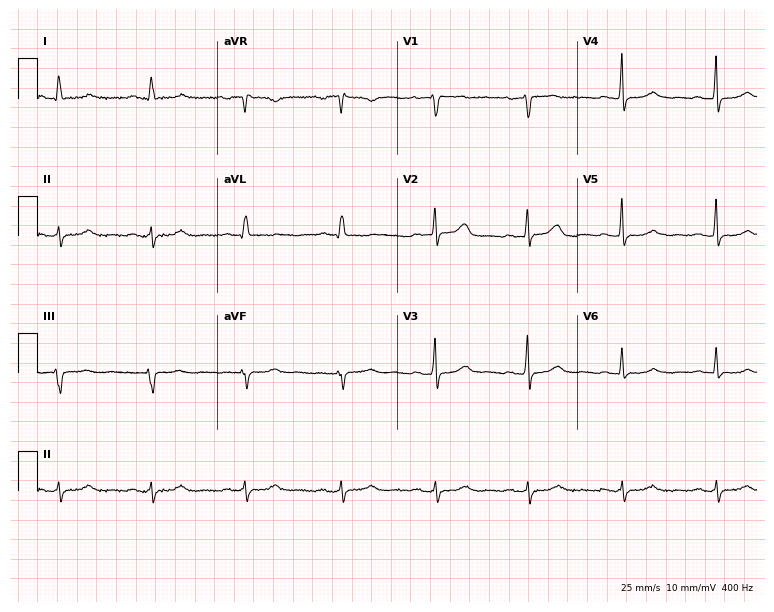
Standard 12-lead ECG recorded from a woman, 56 years old. The tracing shows first-degree AV block.